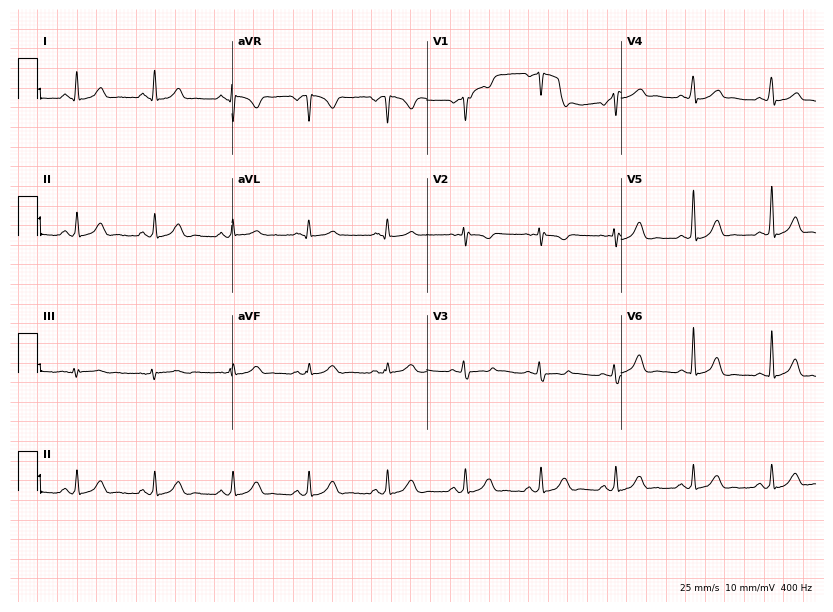
12-lead ECG (7.9-second recording at 400 Hz) from a male patient, 23 years old. Labelled as a normal ECG.